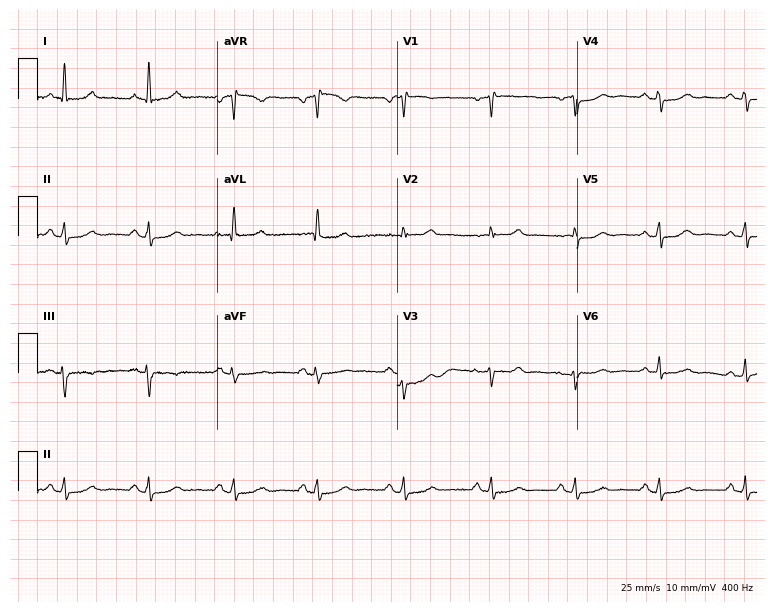
Electrocardiogram (7.3-second recording at 400 Hz), a 60-year-old female. Of the six screened findings (first-degree AV block, right bundle branch block, left bundle branch block, sinus bradycardia, atrial fibrillation, sinus tachycardia), none is recorded. Only these six findings were labelled.